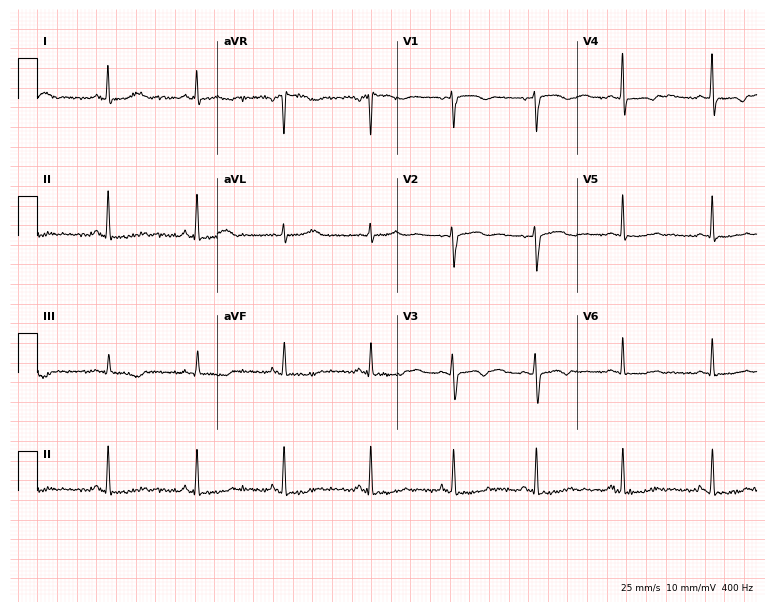
12-lead ECG (7.3-second recording at 400 Hz) from a woman, 38 years old. Screened for six findings — first-degree AV block, right bundle branch block, left bundle branch block, sinus bradycardia, atrial fibrillation, sinus tachycardia — none is recorded. Only these six findings were labelled.